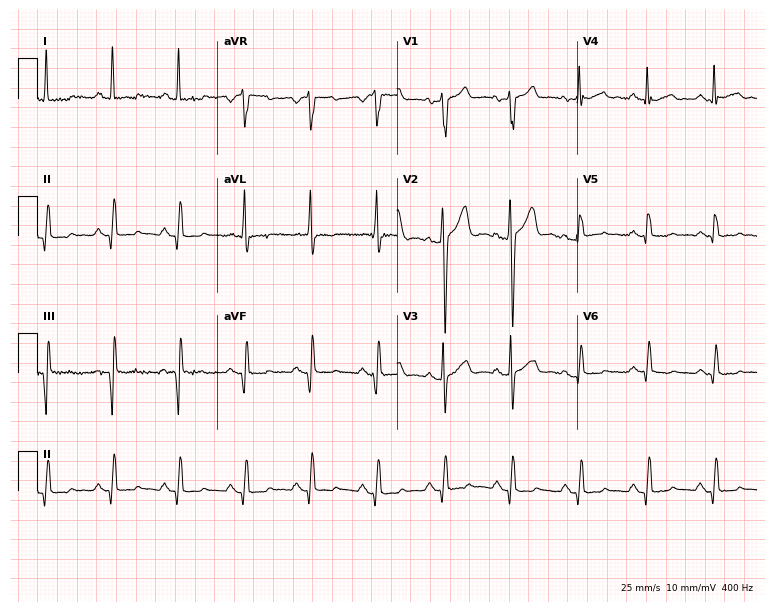
Standard 12-lead ECG recorded from a 52-year-old male patient (7.3-second recording at 400 Hz). None of these six findings is recorded: first-degree AV block, right bundle branch block, left bundle branch block, sinus bradycardia, atrial fibrillation, sinus tachycardia.